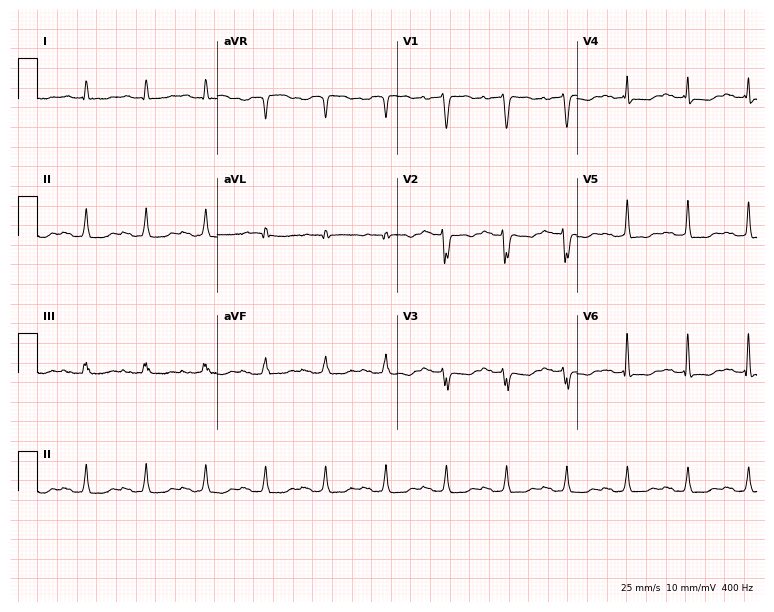
12-lead ECG (7.3-second recording at 400 Hz) from a male patient, 82 years old. Findings include first-degree AV block.